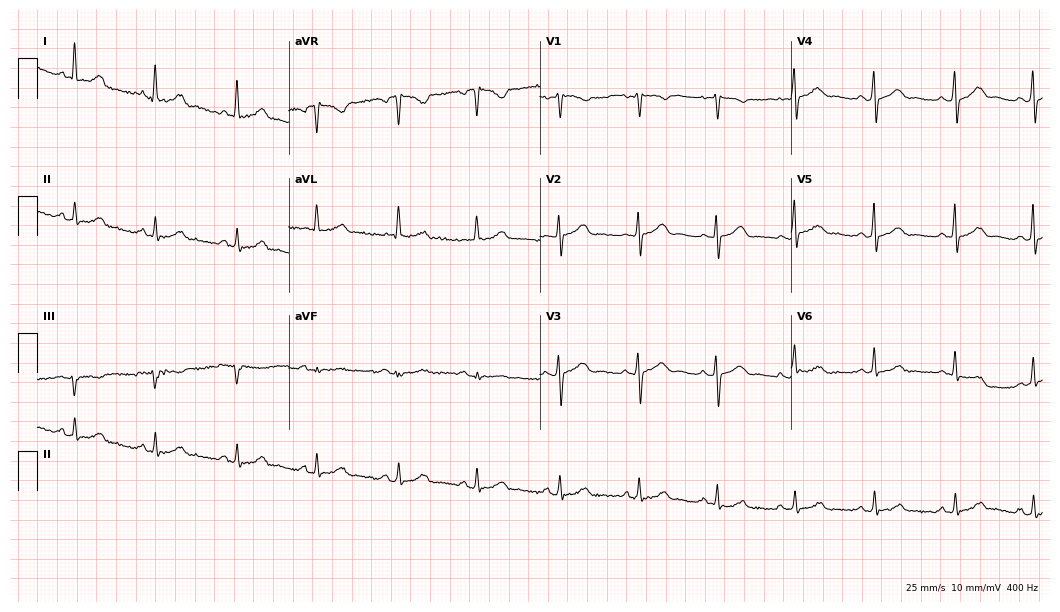
ECG (10.2-second recording at 400 Hz) — a 59-year-old female patient. Labelled as a normal ECG.